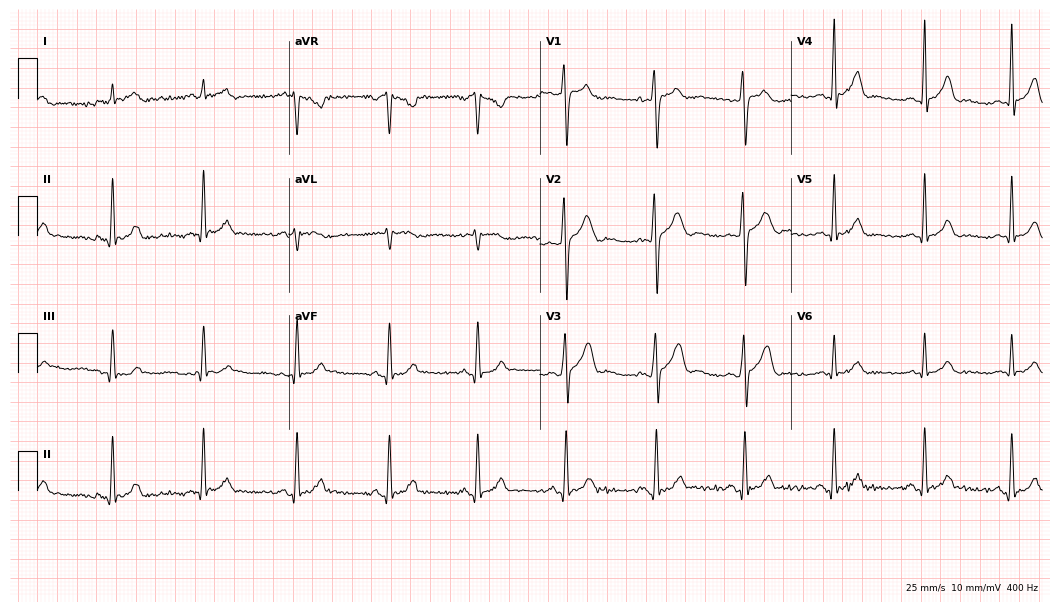
12-lead ECG from a 29-year-old male. No first-degree AV block, right bundle branch block, left bundle branch block, sinus bradycardia, atrial fibrillation or sinus tachycardia recorded for this tracing.